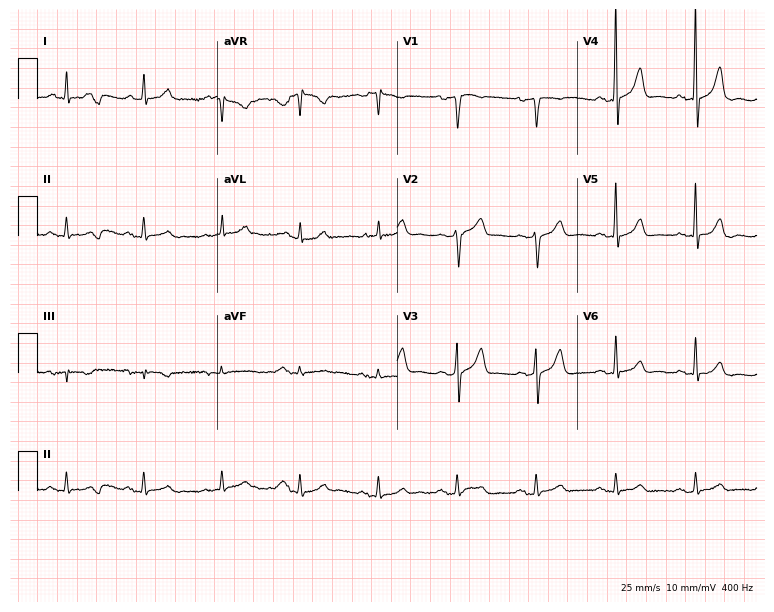
12-lead ECG from an 80-year-old male. No first-degree AV block, right bundle branch block, left bundle branch block, sinus bradycardia, atrial fibrillation or sinus tachycardia recorded for this tracing. Other findings, if any, are not listed.